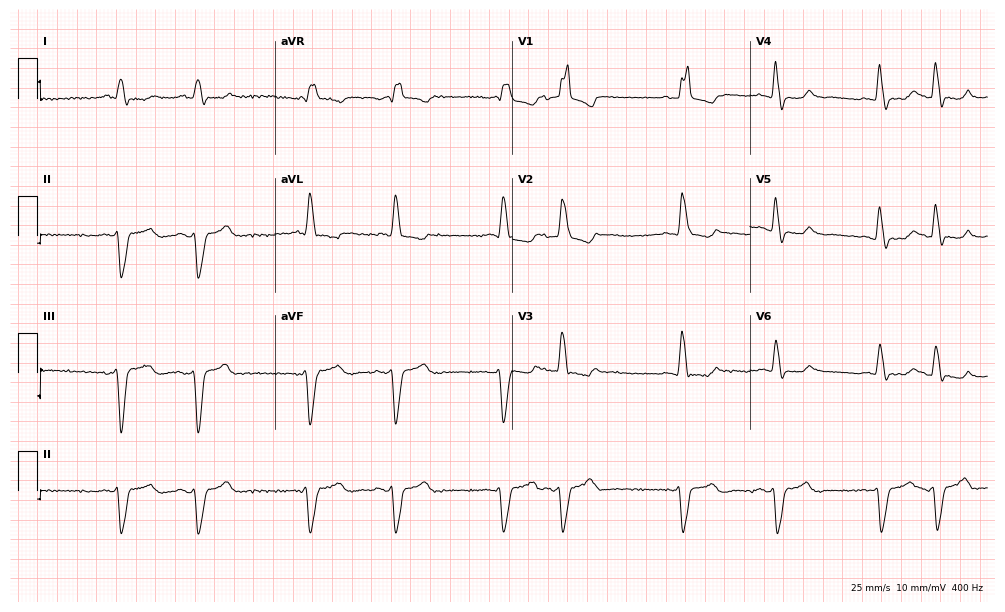
Standard 12-lead ECG recorded from a man, 78 years old. The tracing shows right bundle branch block.